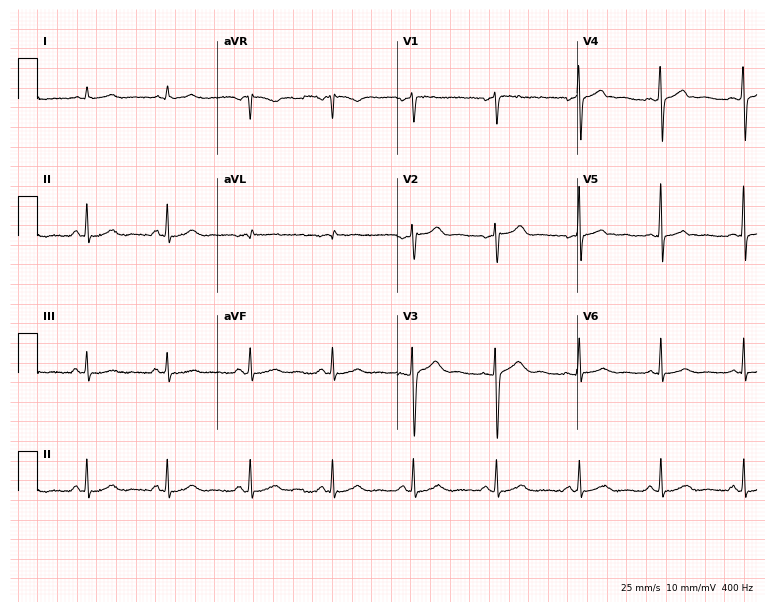
ECG — a 39-year-old female patient. Labelled as a normal ECG.